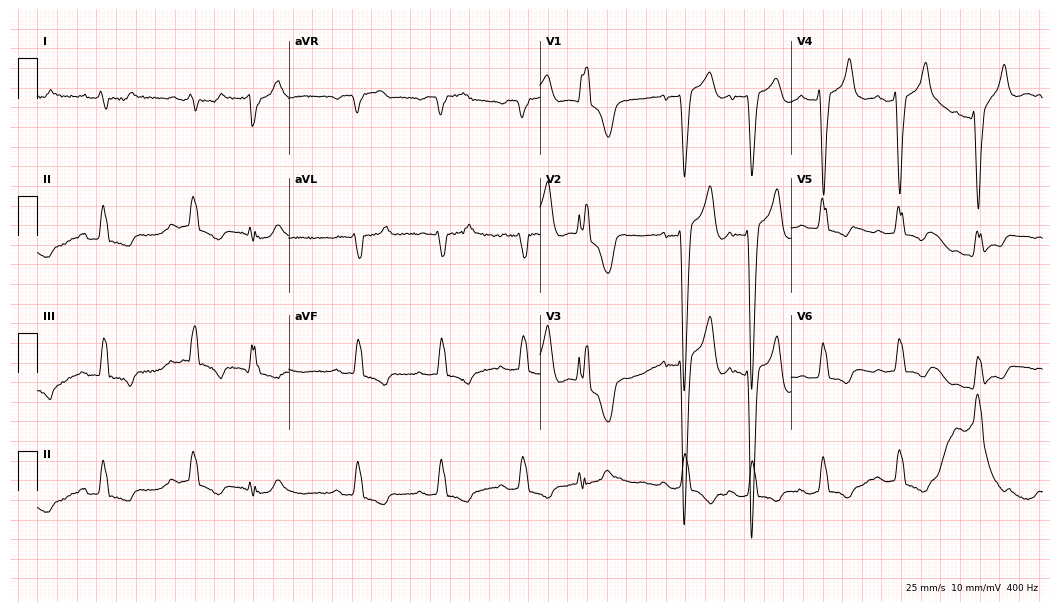
Electrocardiogram (10.2-second recording at 400 Hz), a 73-year-old male patient. Interpretation includes left bundle branch block.